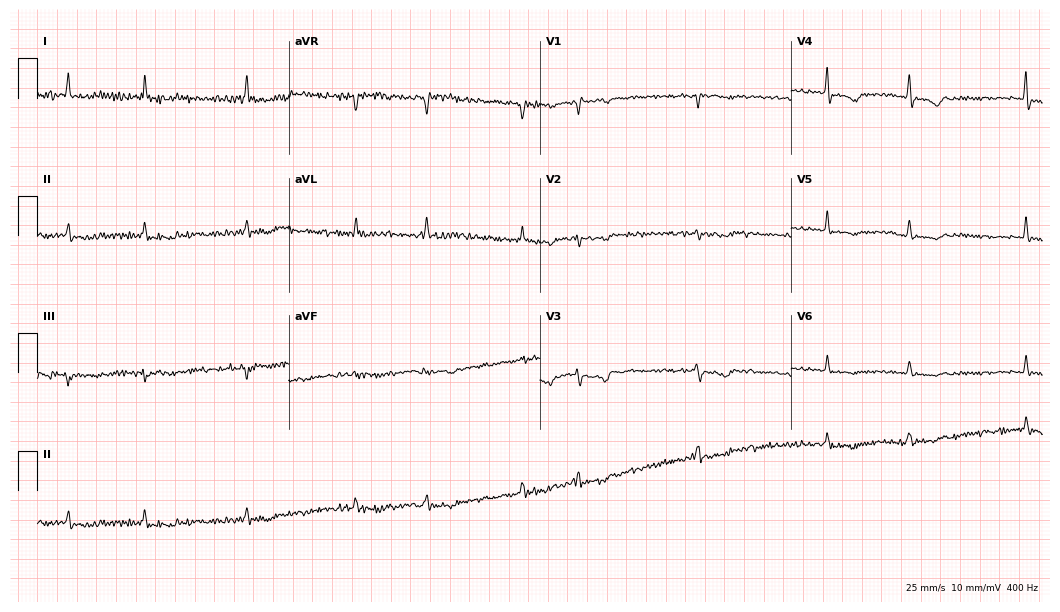
ECG (10.2-second recording at 400 Hz) — a female patient, 72 years old. Screened for six findings — first-degree AV block, right bundle branch block, left bundle branch block, sinus bradycardia, atrial fibrillation, sinus tachycardia — none is recorded. Only these six findings were labelled.